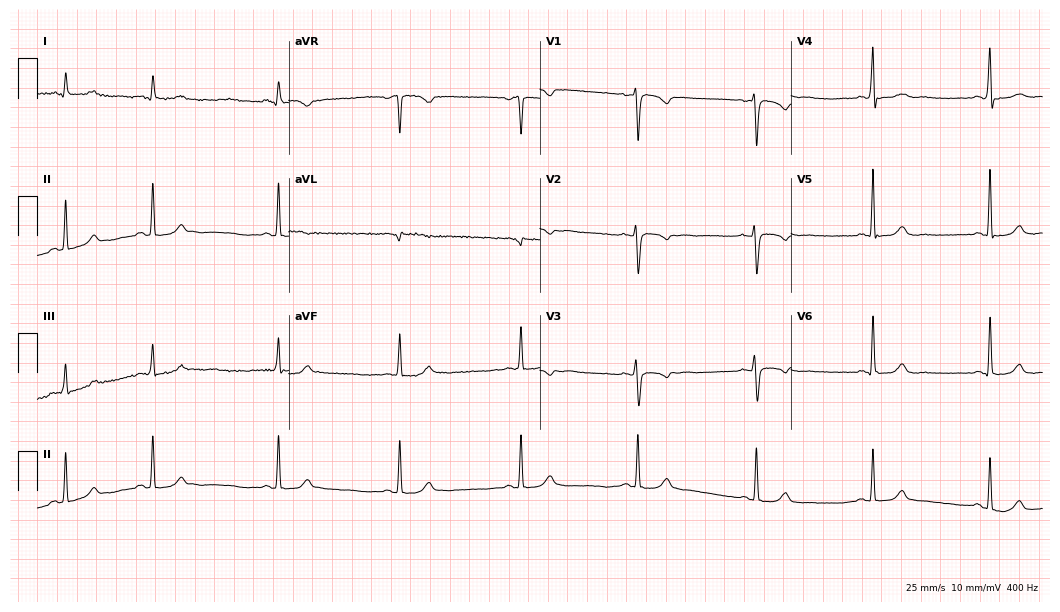
12-lead ECG (10.2-second recording at 400 Hz) from a female patient, 30 years old. Screened for six findings — first-degree AV block, right bundle branch block, left bundle branch block, sinus bradycardia, atrial fibrillation, sinus tachycardia — none is recorded. Only these six findings were labelled.